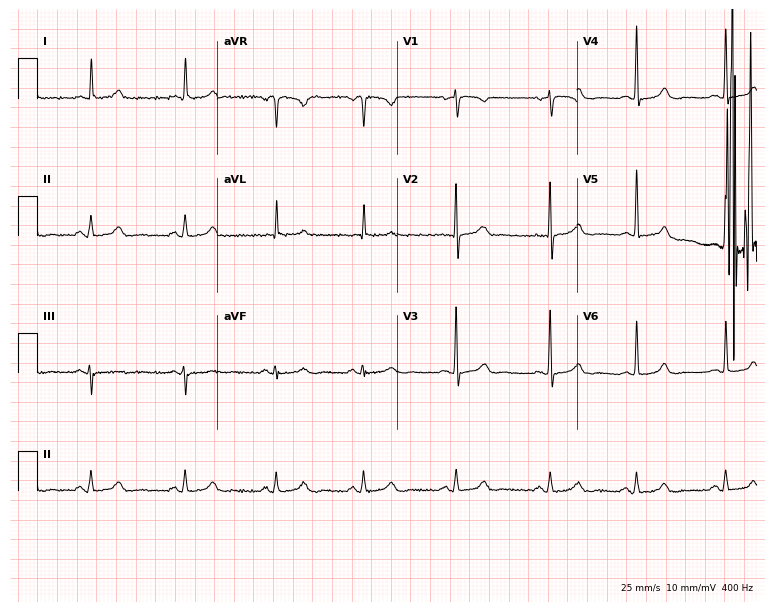
ECG (7.3-second recording at 400 Hz) — a female patient, 69 years old. Screened for six findings — first-degree AV block, right bundle branch block (RBBB), left bundle branch block (LBBB), sinus bradycardia, atrial fibrillation (AF), sinus tachycardia — none is recorded. Findings outside these six are not listed.